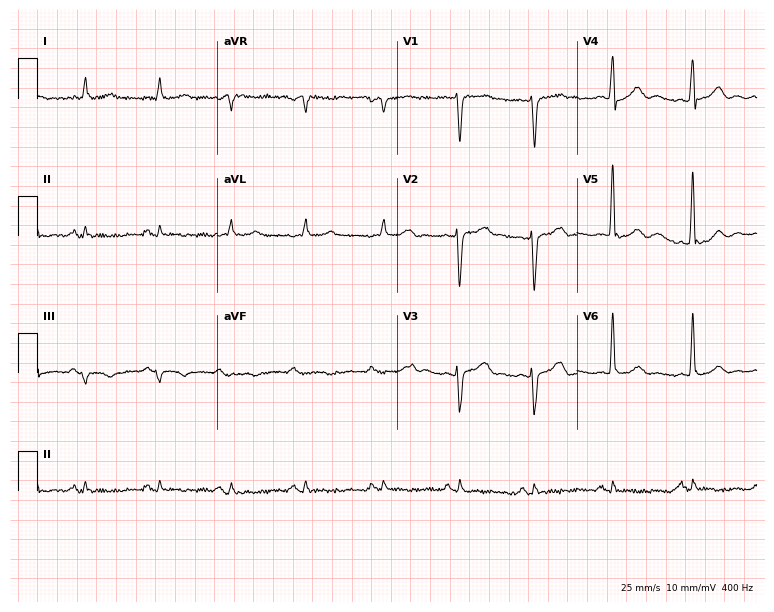
Resting 12-lead electrocardiogram (7.3-second recording at 400 Hz). Patient: a 69-year-old man. Read as a normal ECG.